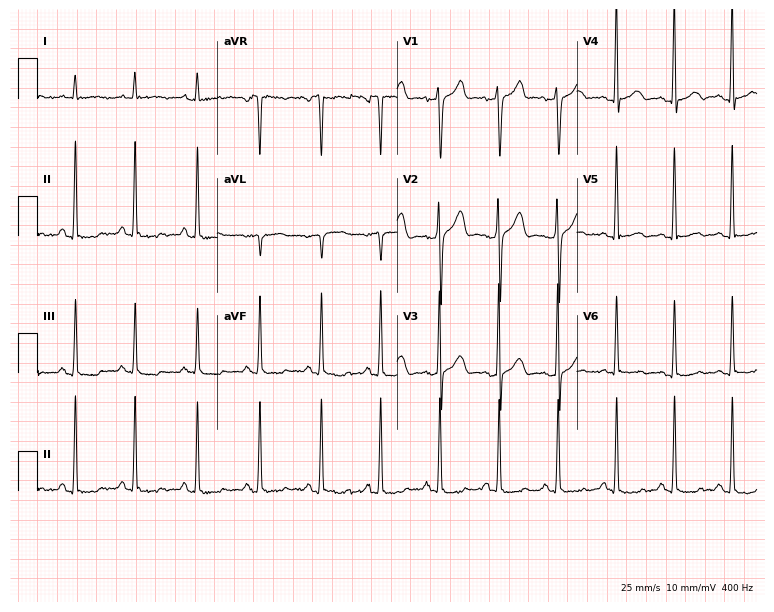
Standard 12-lead ECG recorded from a 44-year-old man. None of these six findings is recorded: first-degree AV block, right bundle branch block, left bundle branch block, sinus bradycardia, atrial fibrillation, sinus tachycardia. Only these six findings were labelled.